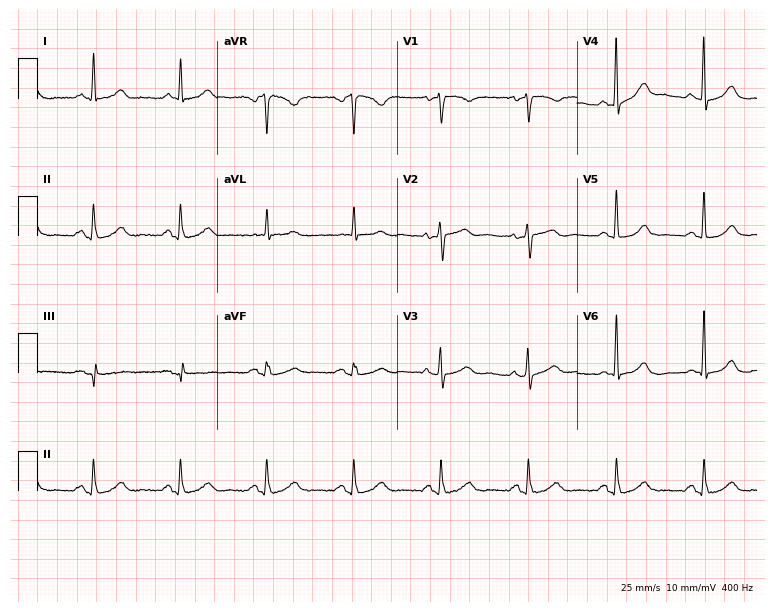
12-lead ECG (7.3-second recording at 400 Hz) from a woman, 64 years old. Screened for six findings — first-degree AV block, right bundle branch block, left bundle branch block, sinus bradycardia, atrial fibrillation, sinus tachycardia — none is recorded. Other findings, if any, are not listed.